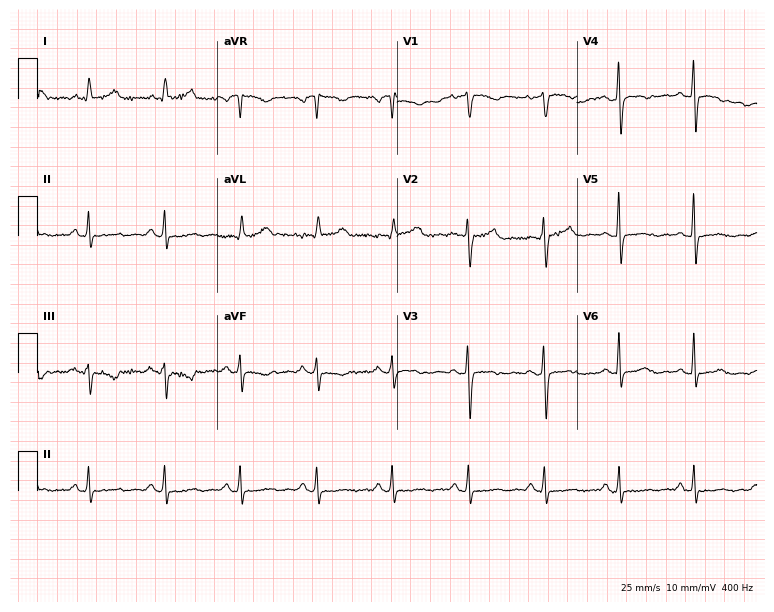
12-lead ECG from a 49-year-old woman (7.3-second recording at 400 Hz). No first-degree AV block, right bundle branch block (RBBB), left bundle branch block (LBBB), sinus bradycardia, atrial fibrillation (AF) or sinus tachycardia recorded for this tracing.